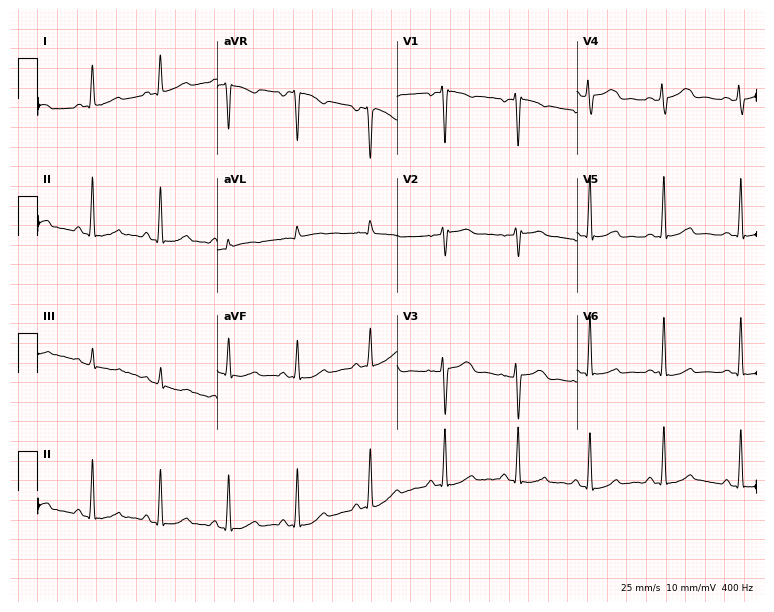
12-lead ECG from a 47-year-old female patient. Screened for six findings — first-degree AV block, right bundle branch block, left bundle branch block, sinus bradycardia, atrial fibrillation, sinus tachycardia — none is recorded. Only these six findings were labelled.